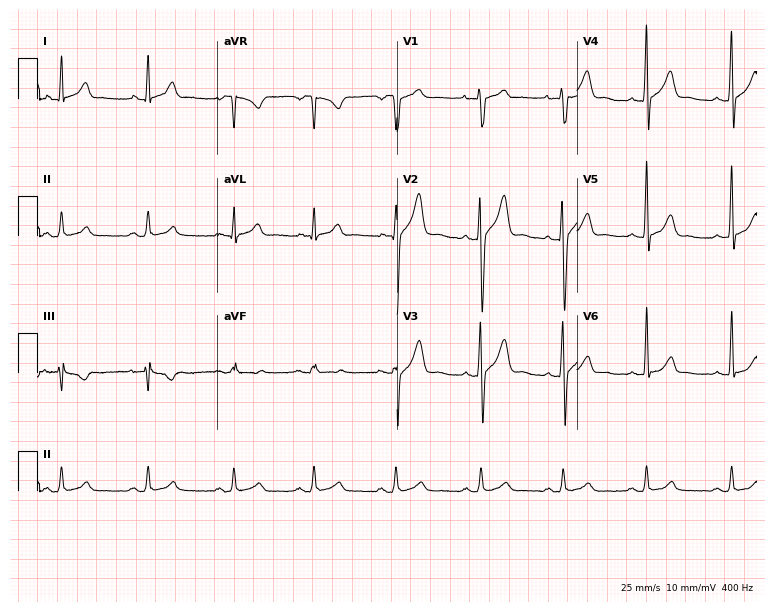
12-lead ECG from a 27-year-old man. Labelled as a normal ECG.